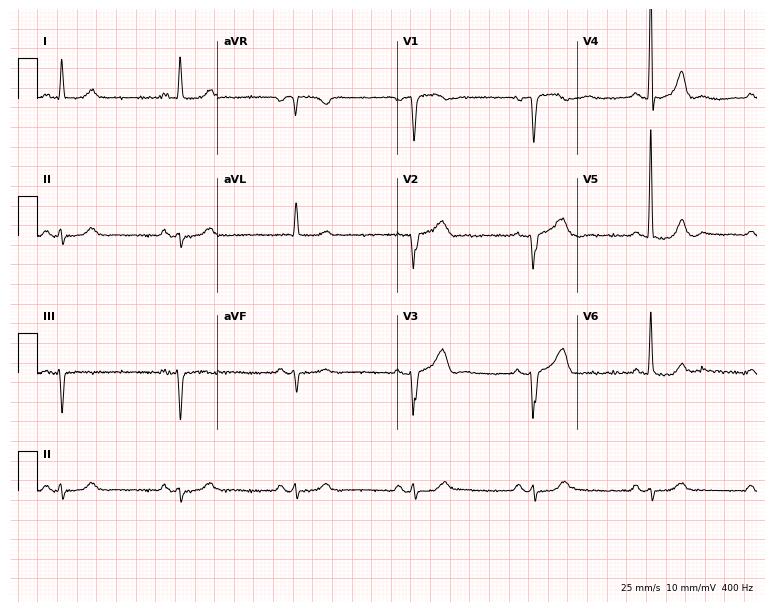
Standard 12-lead ECG recorded from an 85-year-old male. The tracing shows sinus bradycardia (a sinus rate of 50 beats per minute or less).